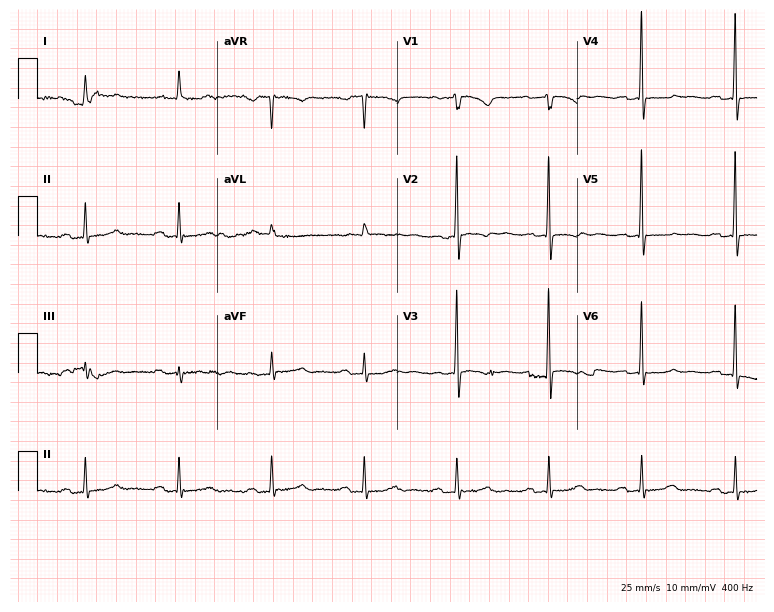
ECG — a woman, 76 years old. Screened for six findings — first-degree AV block, right bundle branch block (RBBB), left bundle branch block (LBBB), sinus bradycardia, atrial fibrillation (AF), sinus tachycardia — none is recorded.